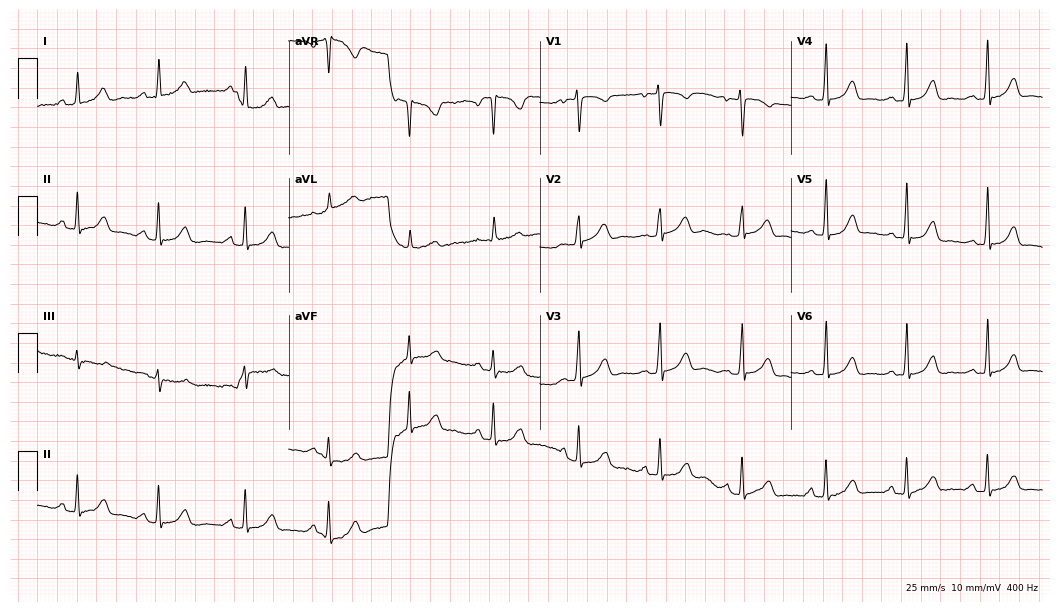
Standard 12-lead ECG recorded from a 38-year-old female patient. Read as a normal ECG.